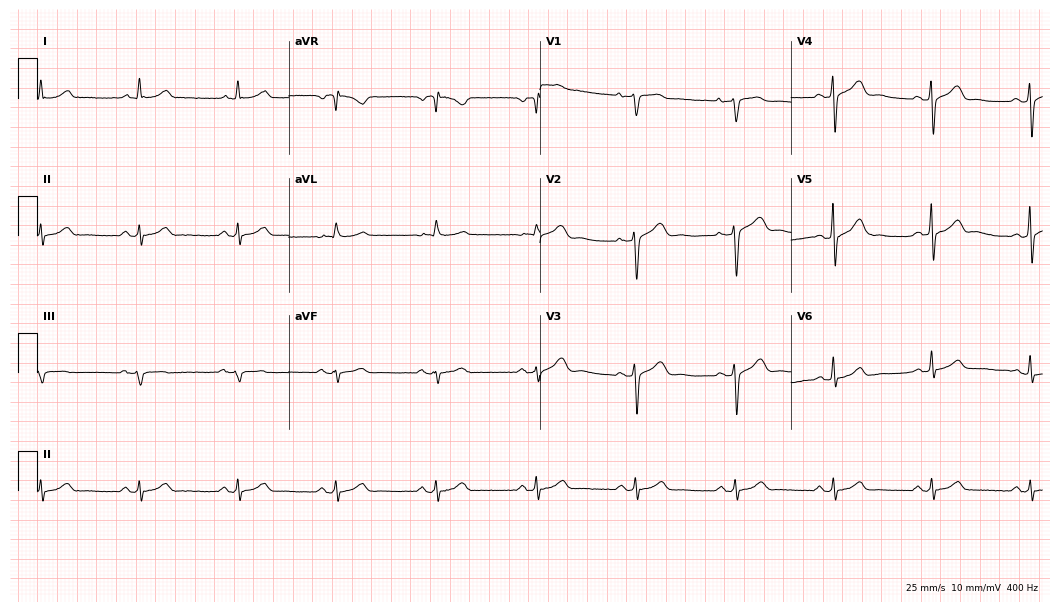
ECG — a male patient, 64 years old. Labelled as a normal ECG.